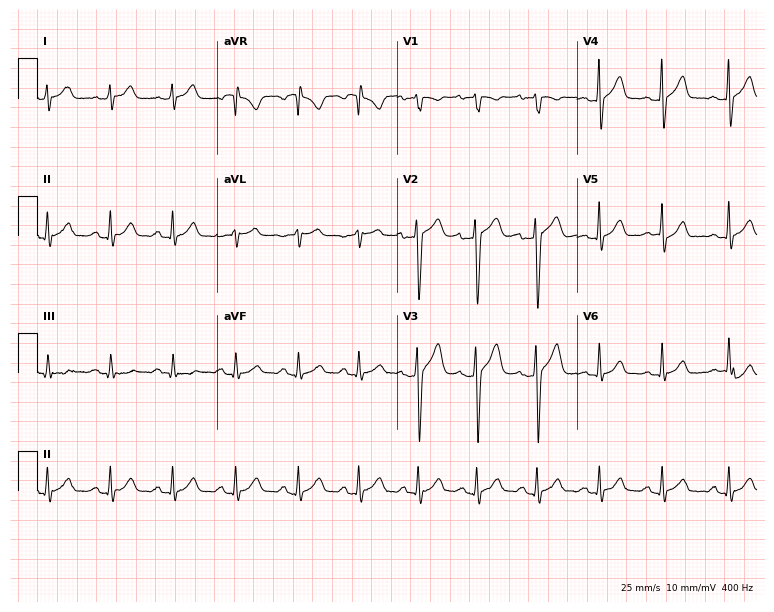
ECG — a male, 34 years old. Labelled as a normal ECG.